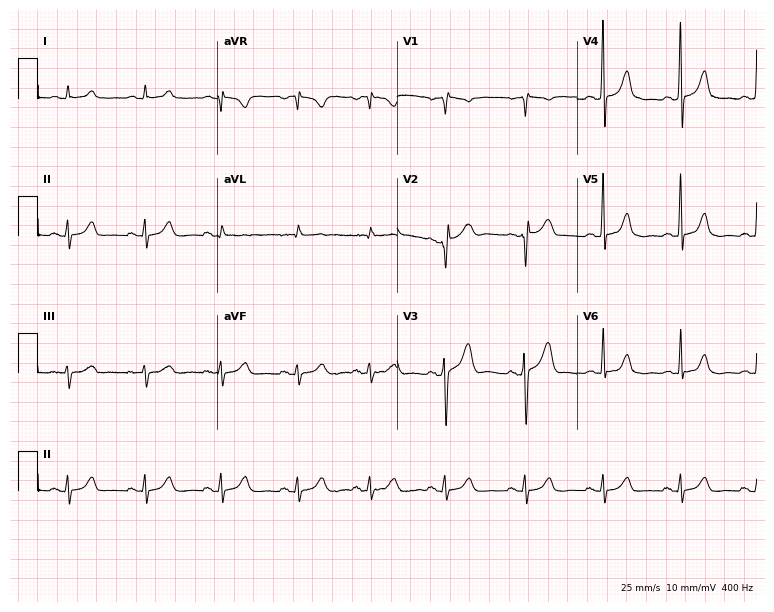
12-lead ECG from a male patient, 55 years old (7.3-second recording at 400 Hz). No first-degree AV block, right bundle branch block, left bundle branch block, sinus bradycardia, atrial fibrillation or sinus tachycardia recorded for this tracing. Findings outside these six are not listed.